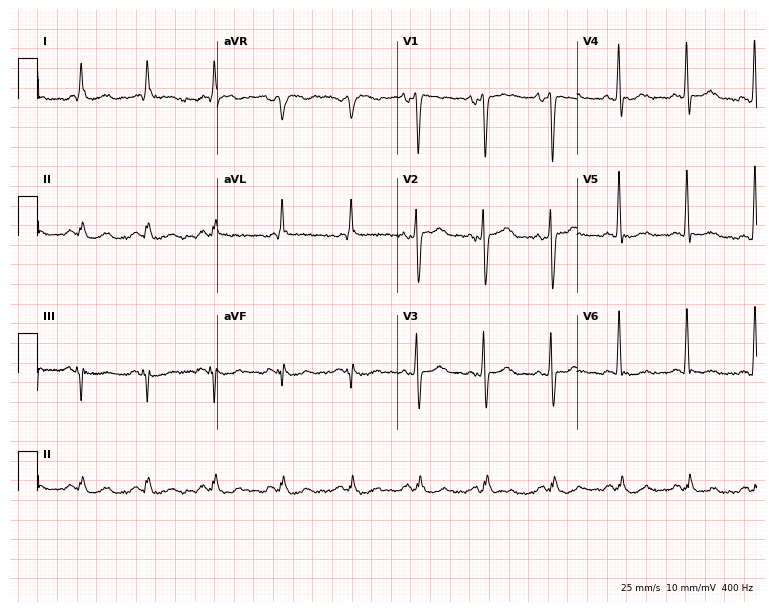
Standard 12-lead ECG recorded from a 47-year-old woman (7.3-second recording at 400 Hz). None of these six findings is recorded: first-degree AV block, right bundle branch block, left bundle branch block, sinus bradycardia, atrial fibrillation, sinus tachycardia.